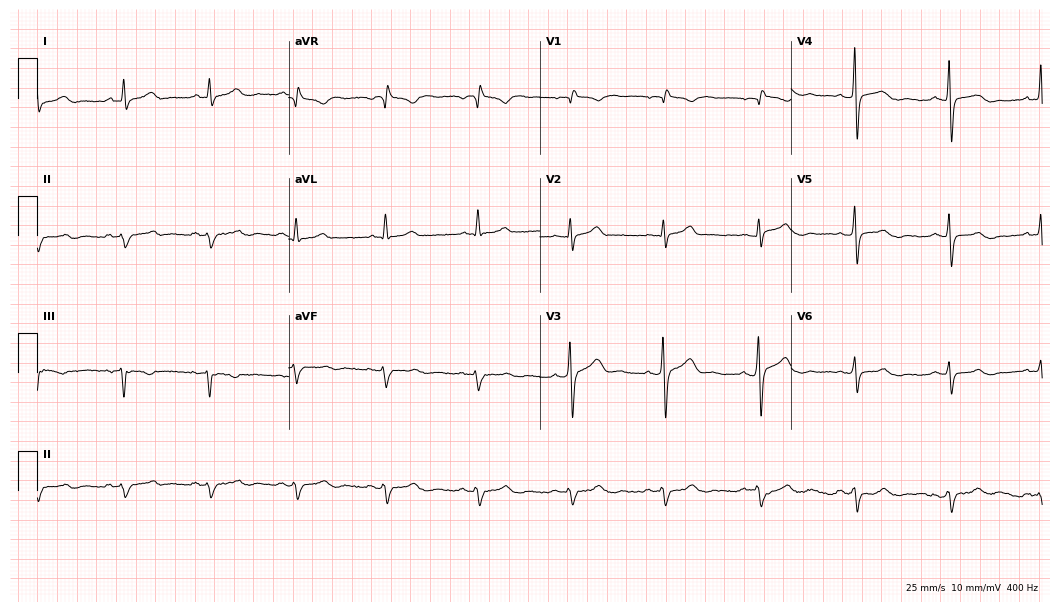
Standard 12-lead ECG recorded from a 62-year-old man (10.2-second recording at 400 Hz). None of these six findings is recorded: first-degree AV block, right bundle branch block (RBBB), left bundle branch block (LBBB), sinus bradycardia, atrial fibrillation (AF), sinus tachycardia. Only these six findings were labelled.